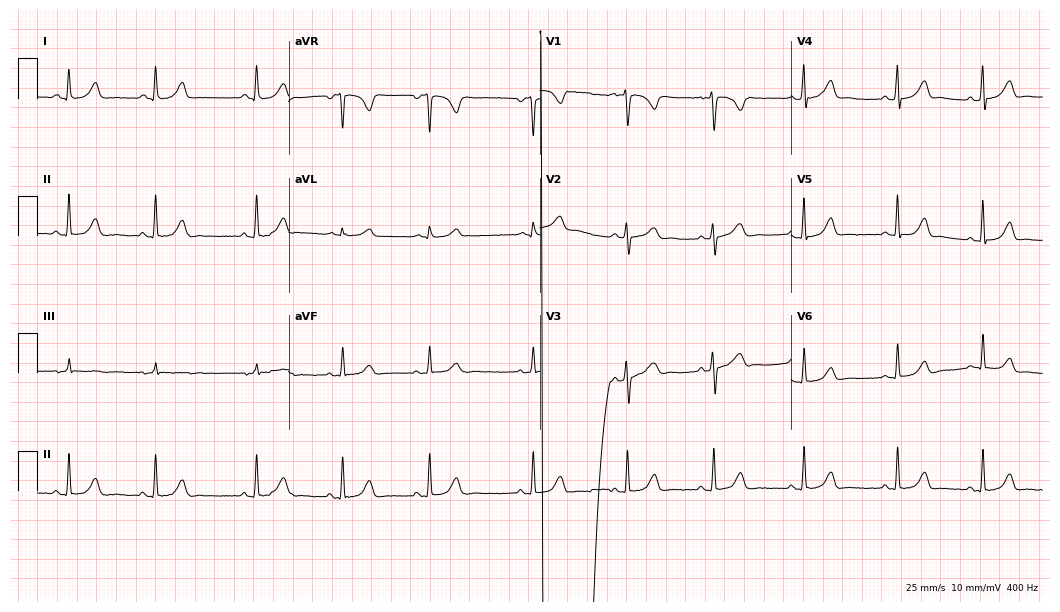
ECG (10.2-second recording at 400 Hz) — a female patient, 31 years old. Labelled as a normal ECG.